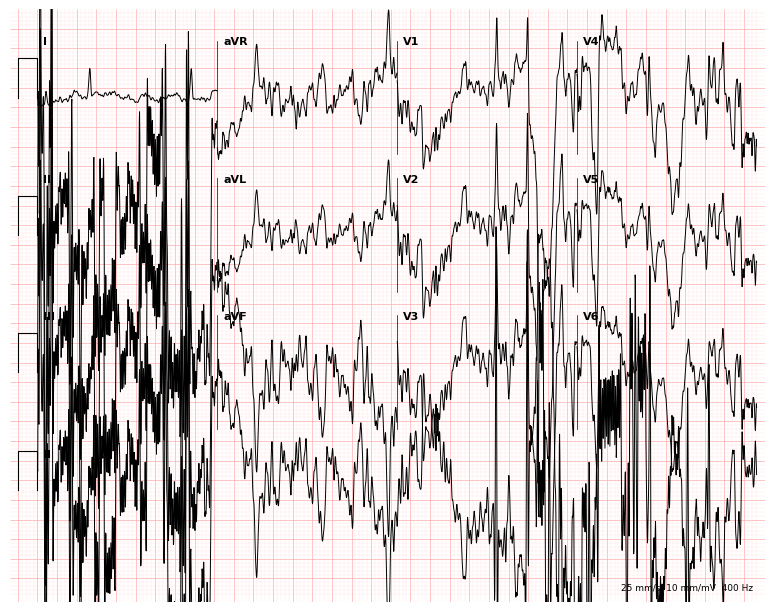
Standard 12-lead ECG recorded from a 64-year-old female. None of these six findings is recorded: first-degree AV block, right bundle branch block (RBBB), left bundle branch block (LBBB), sinus bradycardia, atrial fibrillation (AF), sinus tachycardia. Only these six findings were labelled.